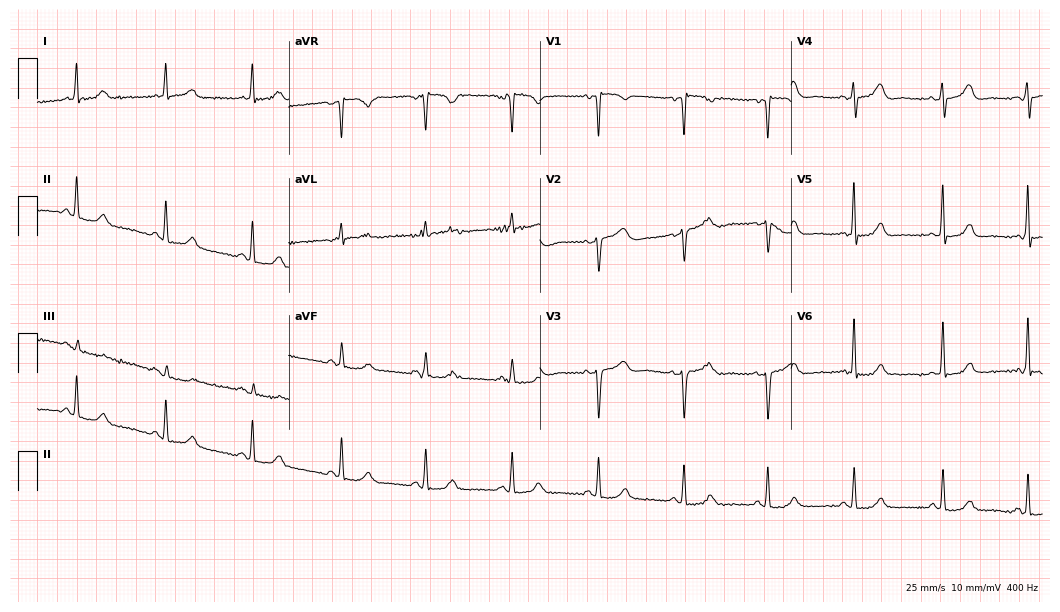
Electrocardiogram, a female patient, 45 years old. Overall reading on record: normal ECG.